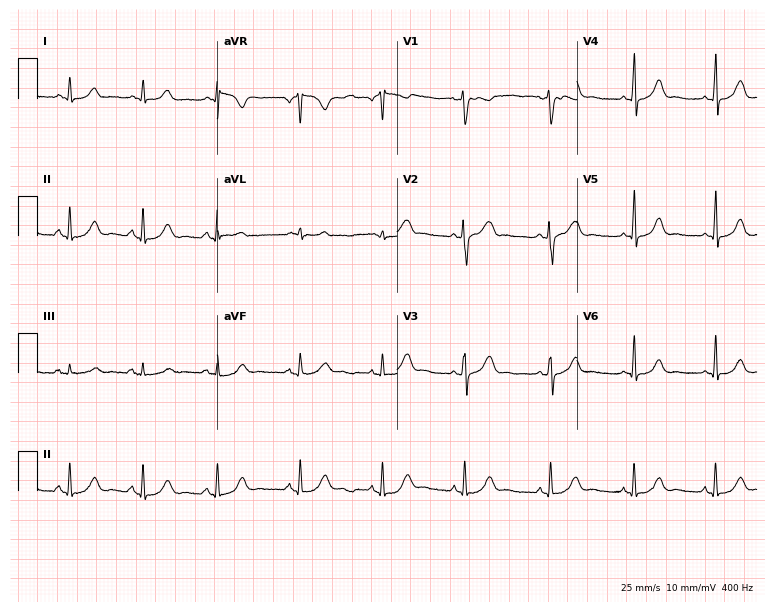
ECG (7.3-second recording at 400 Hz) — a 40-year-old female patient. Labelled as a normal ECG.